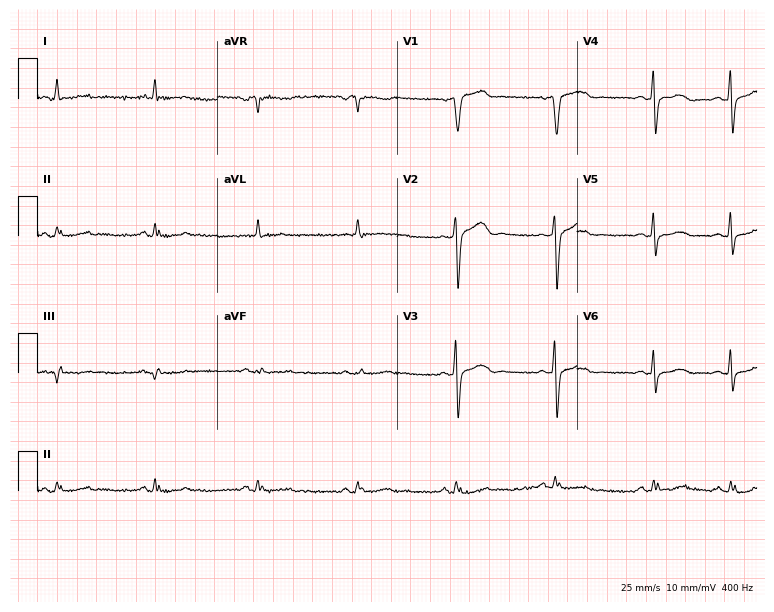
Standard 12-lead ECG recorded from a 52-year-old male patient. None of these six findings is recorded: first-degree AV block, right bundle branch block (RBBB), left bundle branch block (LBBB), sinus bradycardia, atrial fibrillation (AF), sinus tachycardia. Findings outside these six are not listed.